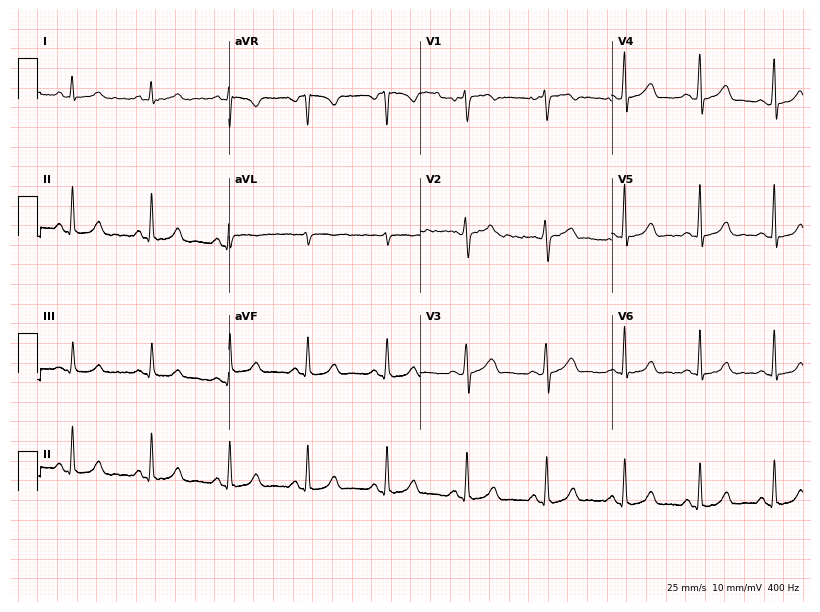
Standard 12-lead ECG recorded from a female patient, 40 years old. Read as a normal ECG.